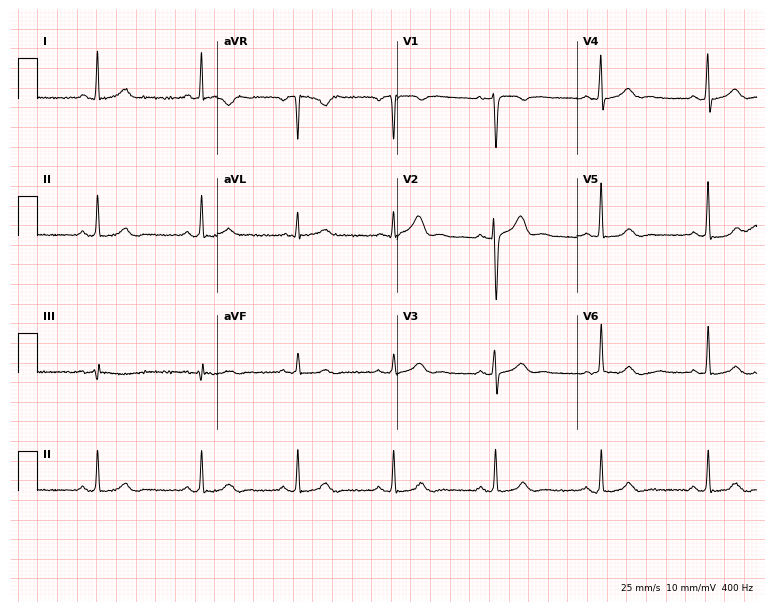
12-lead ECG from a 39-year-old man. Recorded interpretation: within normal limits.